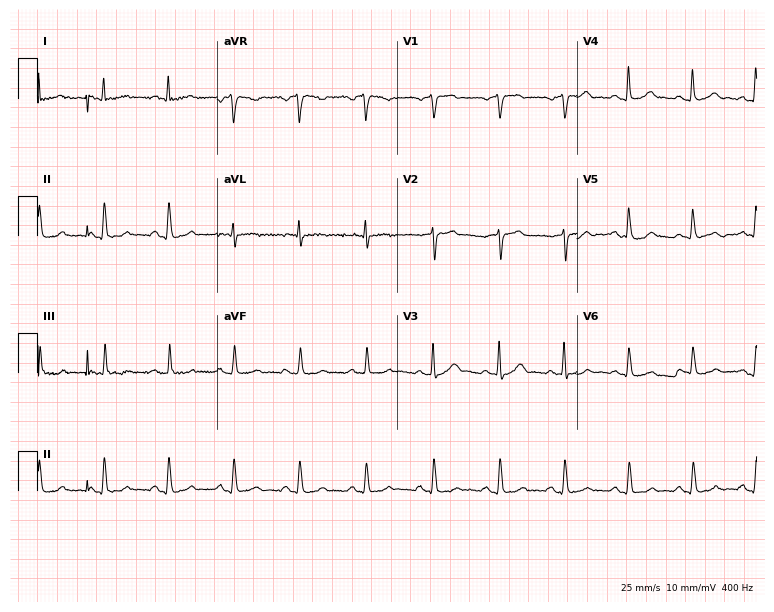
12-lead ECG from a male, 48 years old. Recorded interpretation: within normal limits.